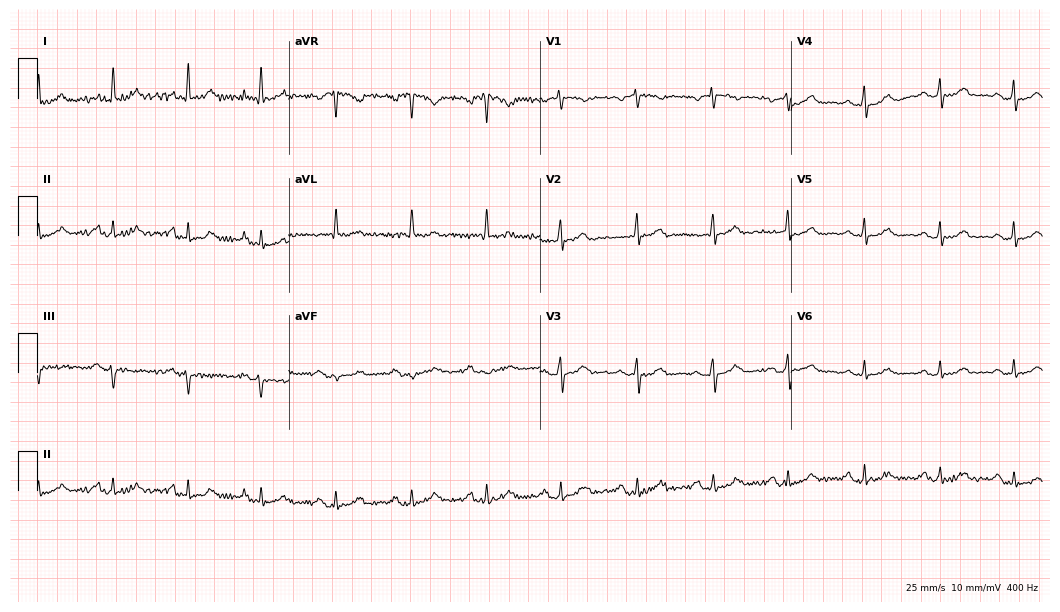
12-lead ECG from a female, 66 years old (10.2-second recording at 400 Hz). Recorded interpretation: within normal limits.